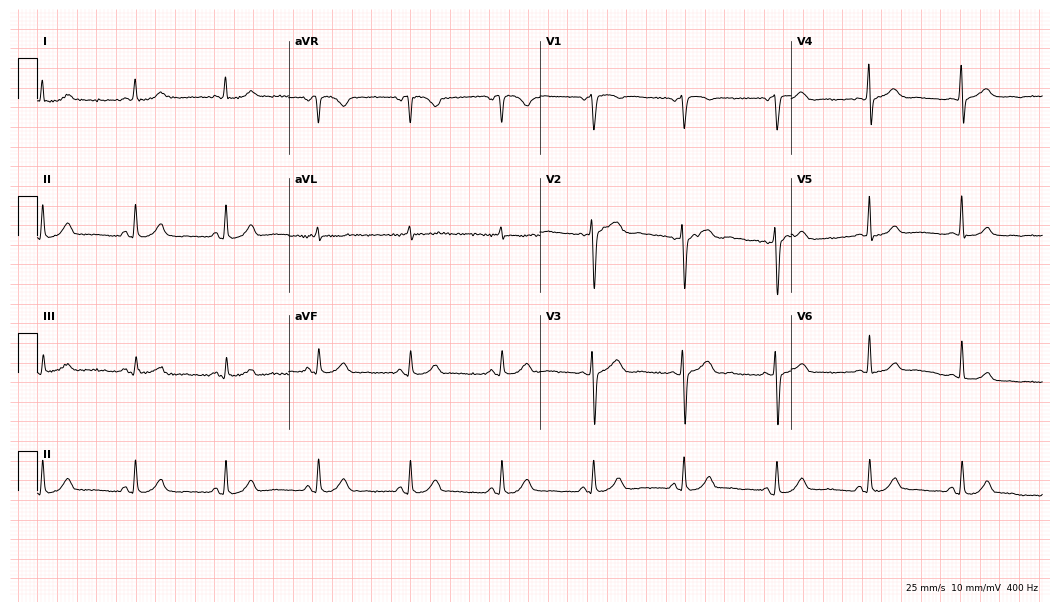
Electrocardiogram, a male, 50 years old. Overall reading on record: normal ECG.